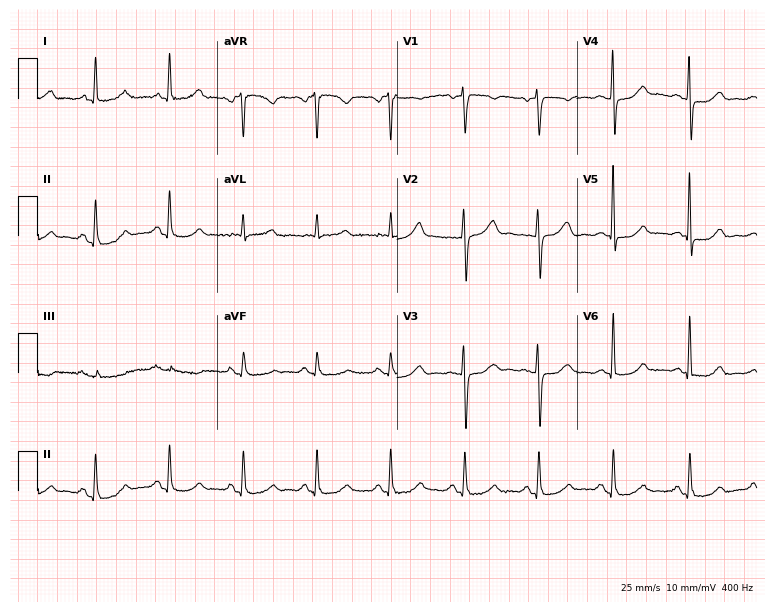
12-lead ECG from a 50-year-old woman (7.3-second recording at 400 Hz). Recorded interpretation: within normal limits.